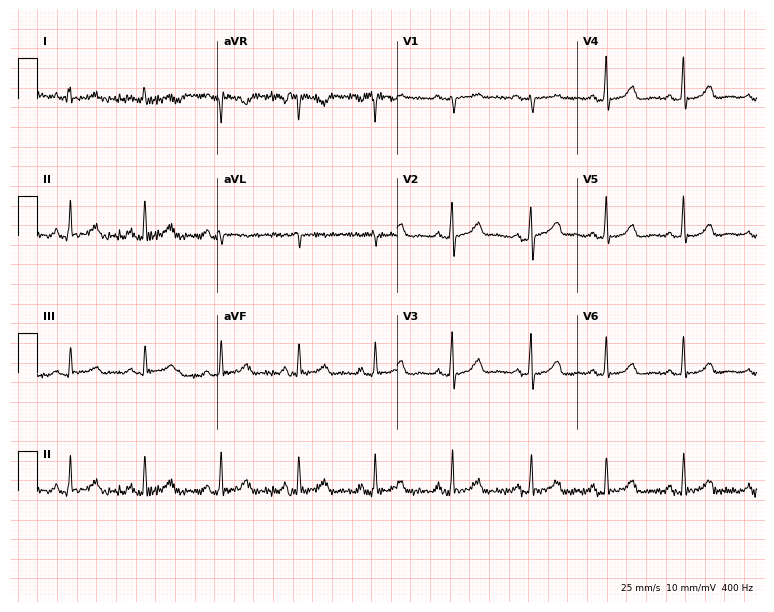
Electrocardiogram, a female, 39 years old. Overall reading on record: normal ECG.